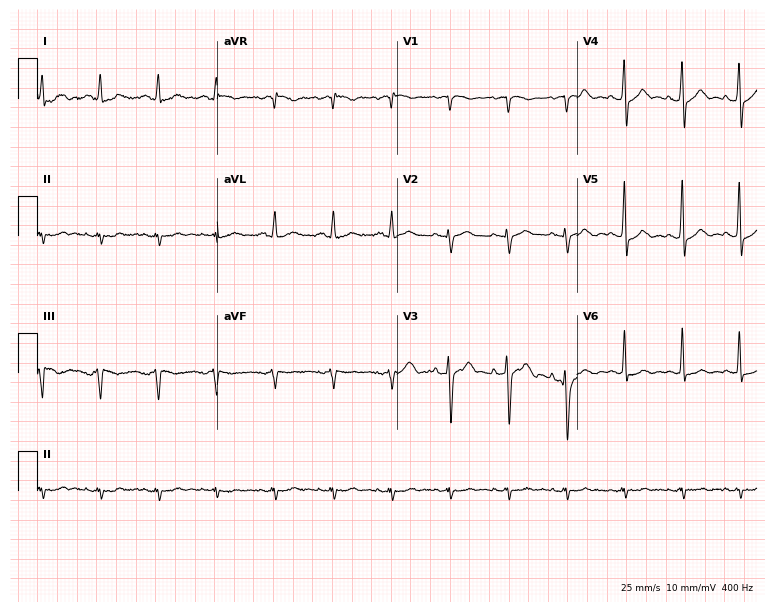
Resting 12-lead electrocardiogram. Patient: a 76-year-old male. None of these six findings is recorded: first-degree AV block, right bundle branch block, left bundle branch block, sinus bradycardia, atrial fibrillation, sinus tachycardia. Findings outside these six are not listed.